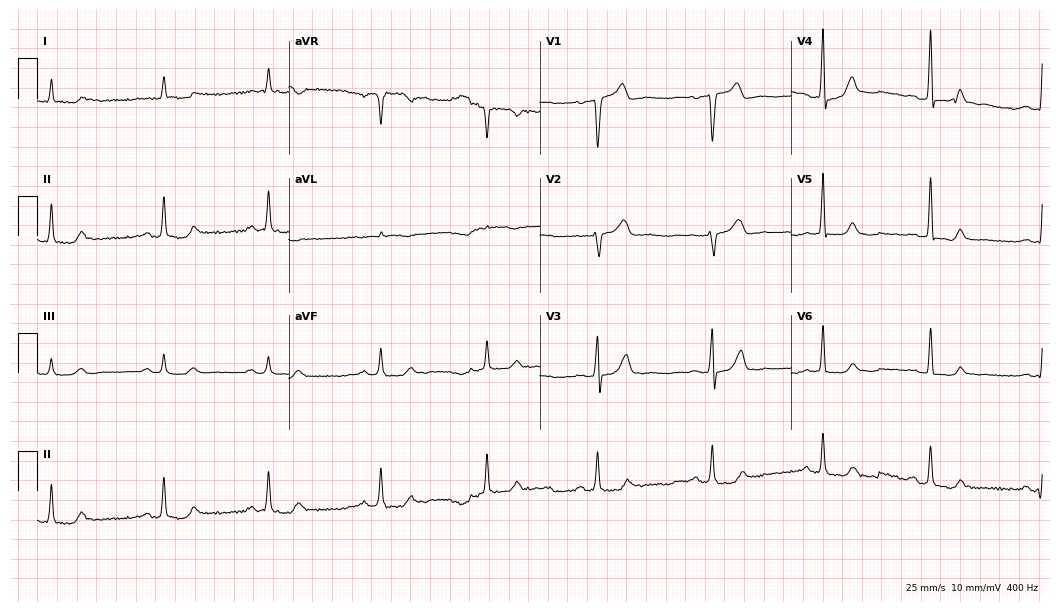
Electrocardiogram (10.2-second recording at 400 Hz), a male, 77 years old. Overall reading on record: normal ECG.